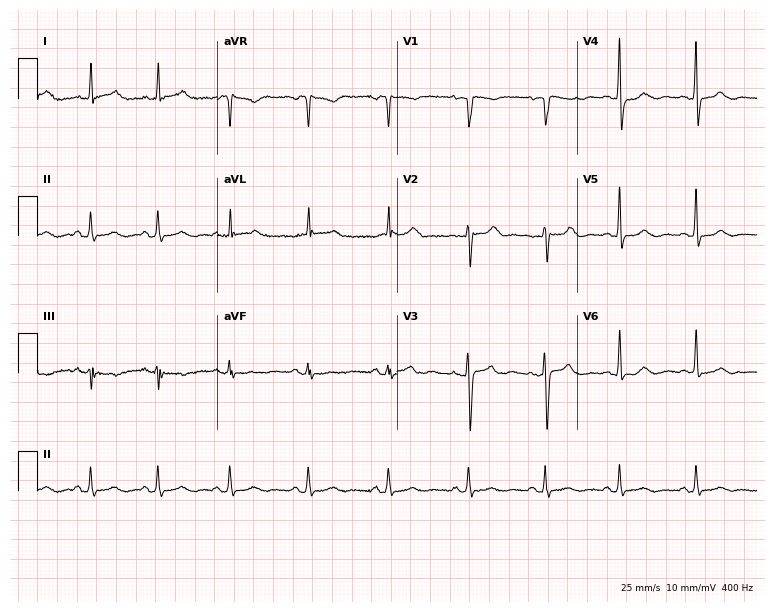
ECG (7.3-second recording at 400 Hz) — a 45-year-old female patient. Labelled as a normal ECG.